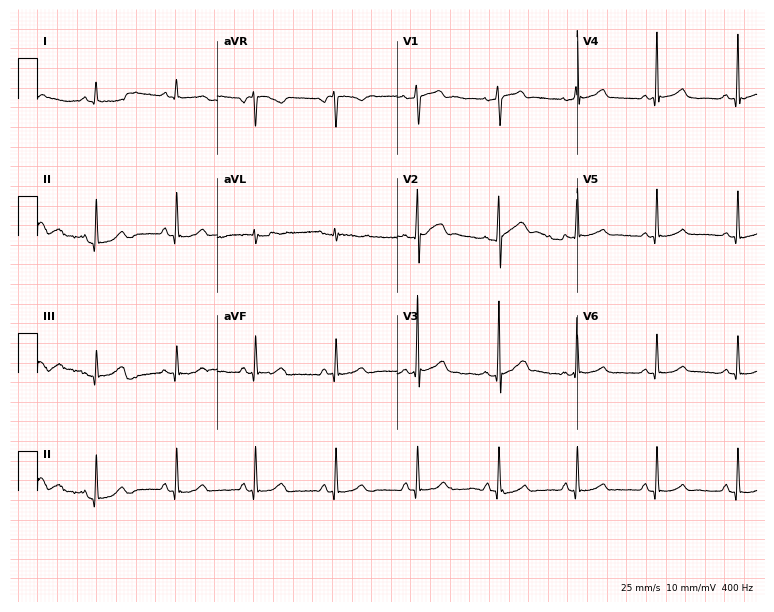
Electrocardiogram, a 31-year-old male patient. Of the six screened findings (first-degree AV block, right bundle branch block (RBBB), left bundle branch block (LBBB), sinus bradycardia, atrial fibrillation (AF), sinus tachycardia), none is recorded.